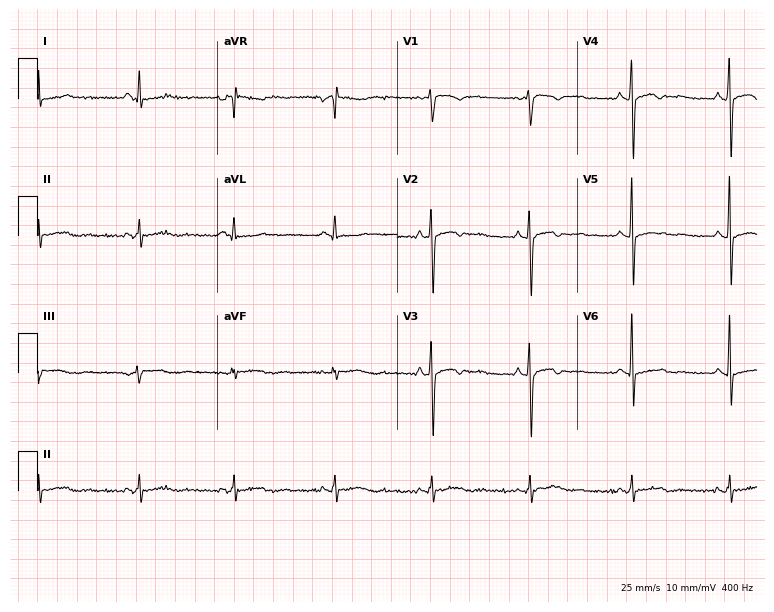
Resting 12-lead electrocardiogram. Patient: a female, 33 years old. None of these six findings is recorded: first-degree AV block, right bundle branch block, left bundle branch block, sinus bradycardia, atrial fibrillation, sinus tachycardia.